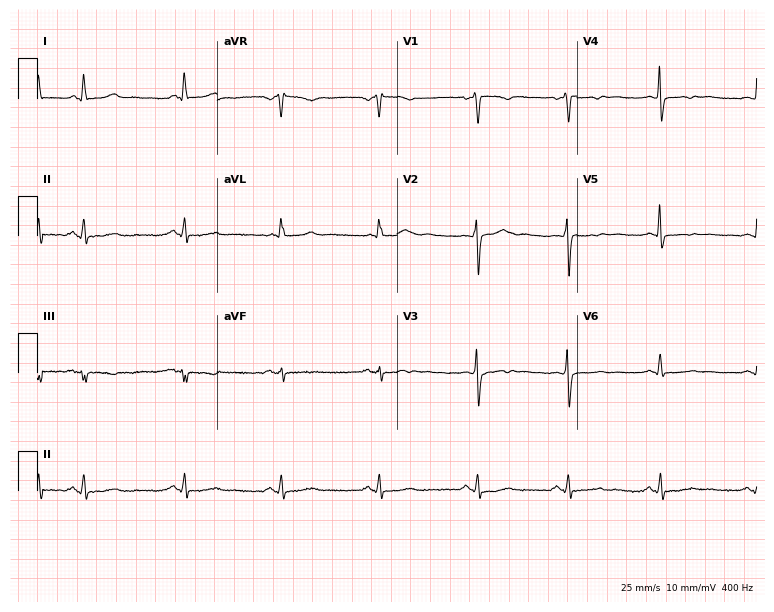
12-lead ECG (7.3-second recording at 400 Hz) from a 46-year-old female patient. Screened for six findings — first-degree AV block, right bundle branch block, left bundle branch block, sinus bradycardia, atrial fibrillation, sinus tachycardia — none is recorded.